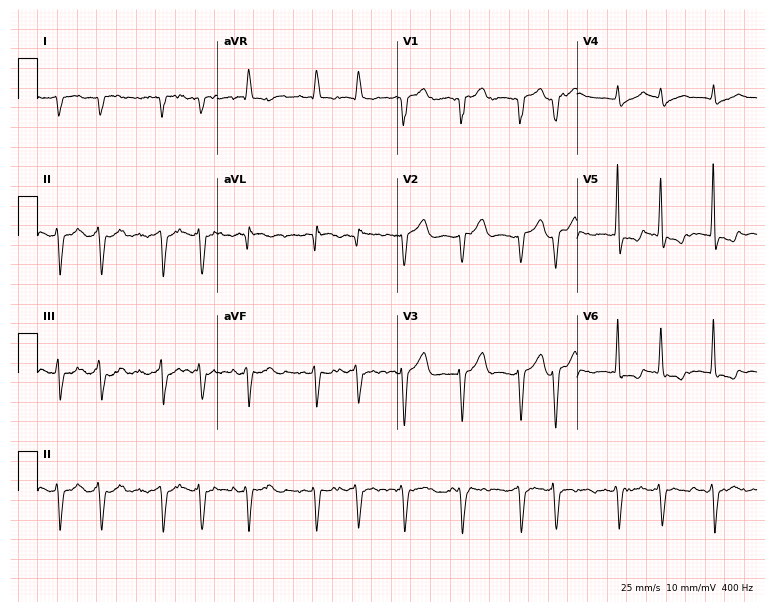
Standard 12-lead ECG recorded from a 75-year-old man. None of these six findings is recorded: first-degree AV block, right bundle branch block, left bundle branch block, sinus bradycardia, atrial fibrillation, sinus tachycardia. Other findings, if any, are not listed.